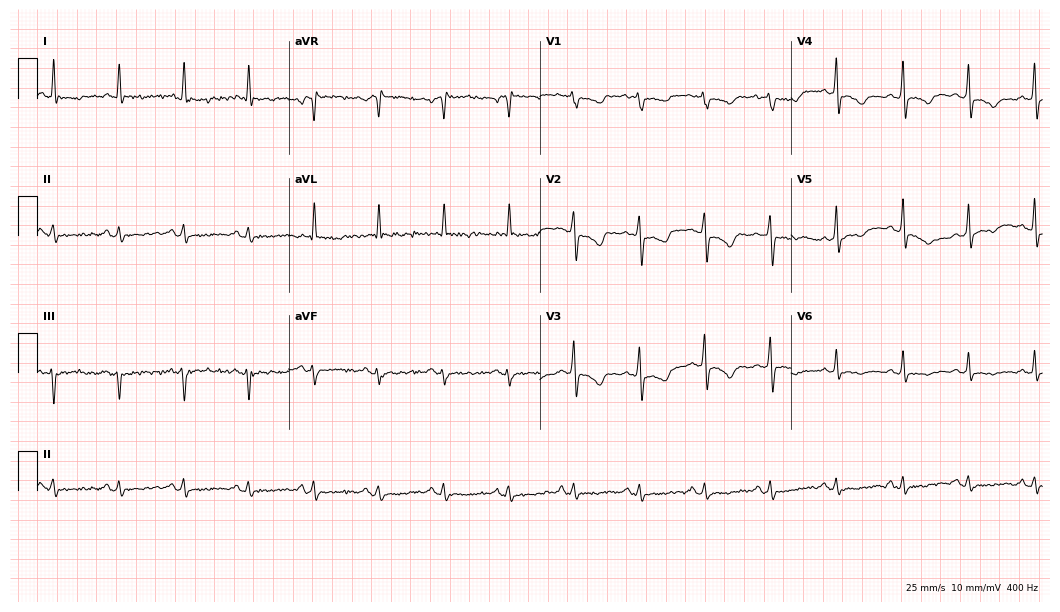
Electrocardiogram, a 66-year-old woman. Of the six screened findings (first-degree AV block, right bundle branch block, left bundle branch block, sinus bradycardia, atrial fibrillation, sinus tachycardia), none is recorded.